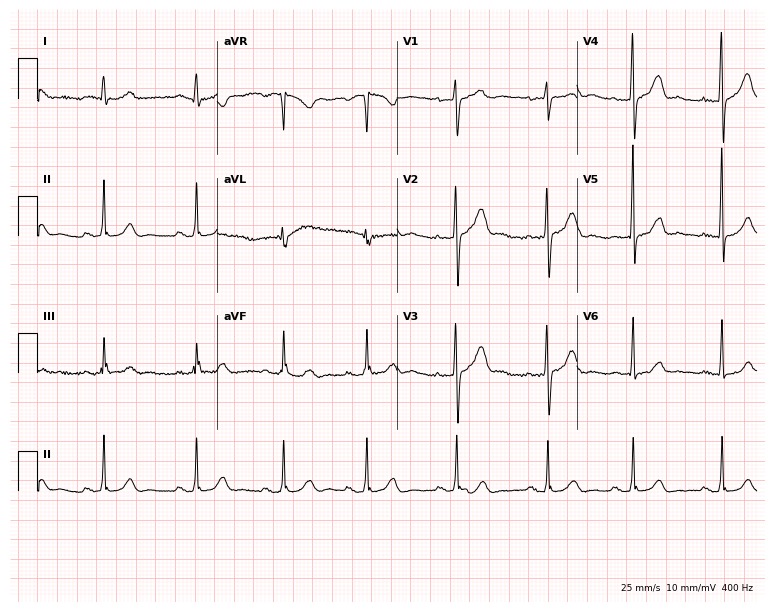
Standard 12-lead ECG recorded from a woman, 58 years old (7.3-second recording at 400 Hz). Read as a normal ECG.